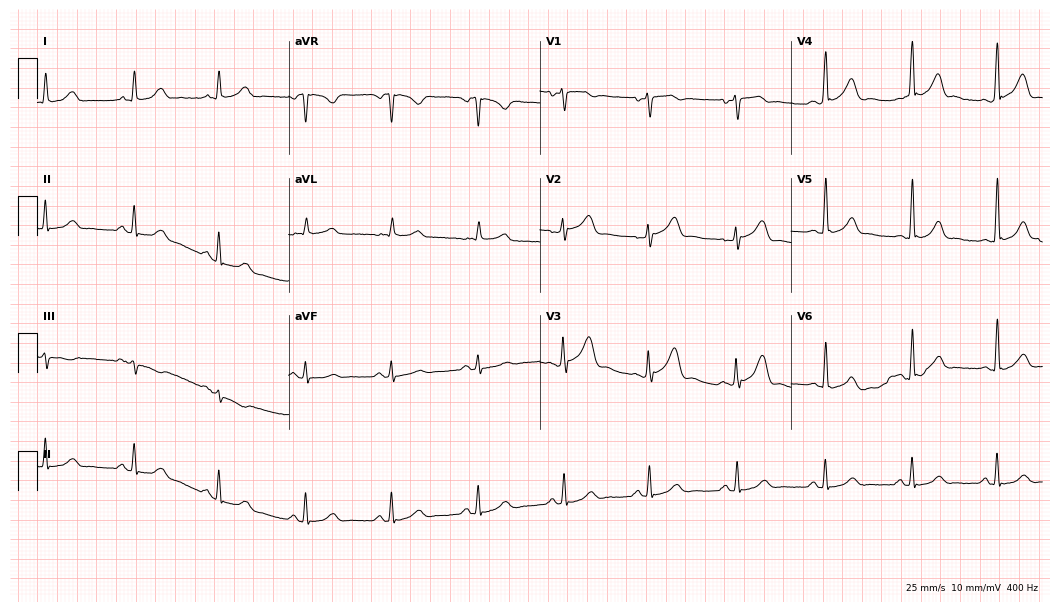
Standard 12-lead ECG recorded from a man, 44 years old. Read as a normal ECG.